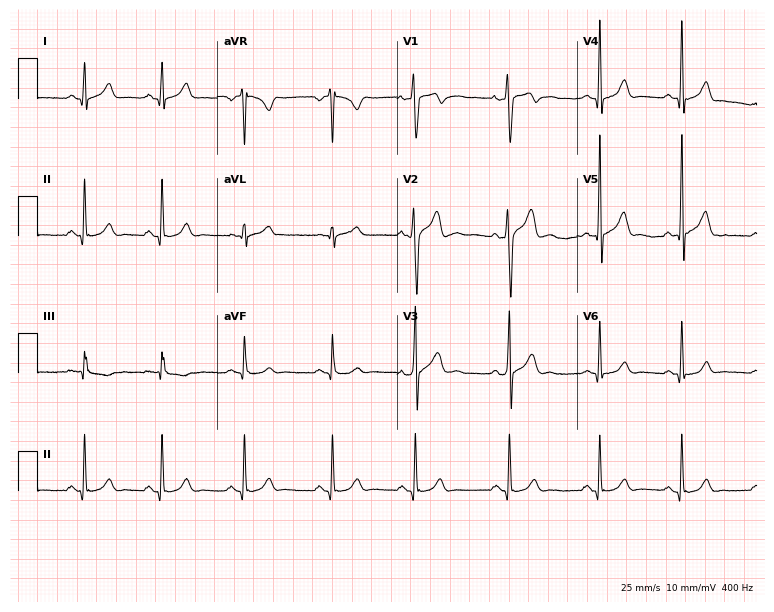
Electrocardiogram (7.3-second recording at 400 Hz), a 19-year-old man. Overall reading on record: normal ECG.